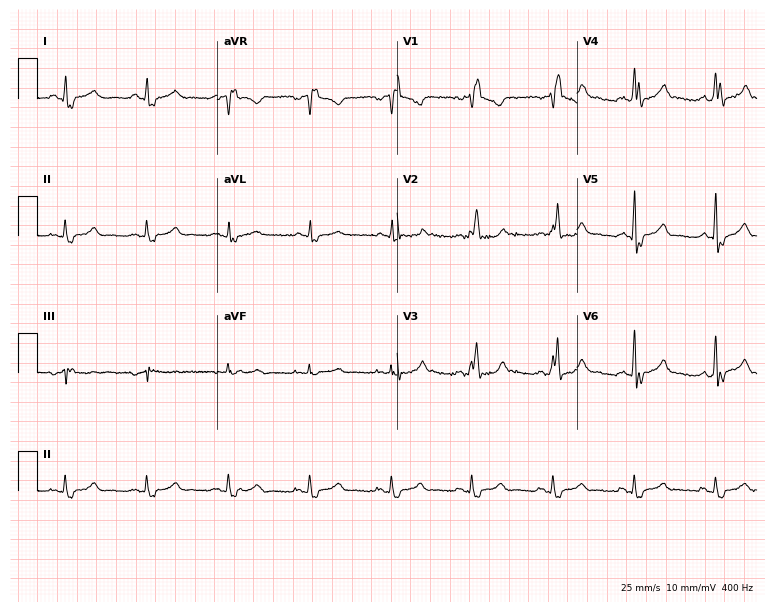
12-lead ECG (7.3-second recording at 400 Hz) from a male patient, 63 years old. Findings include right bundle branch block.